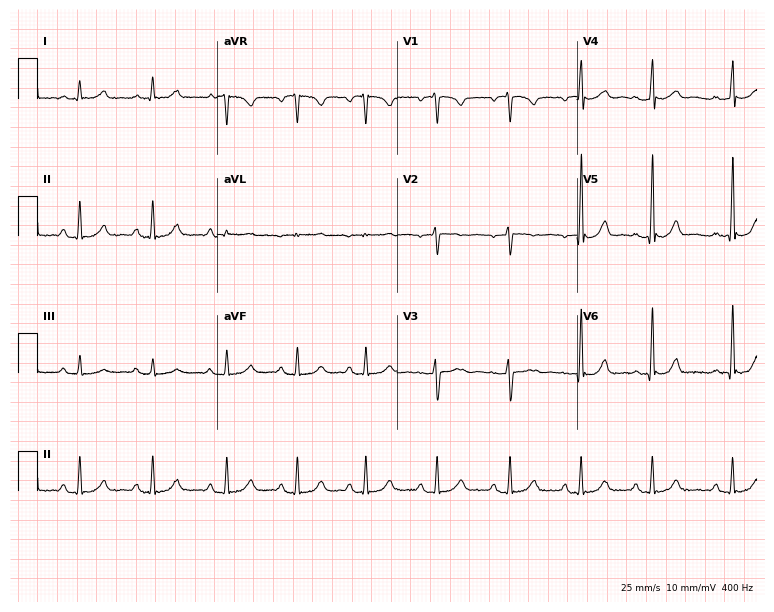
12-lead ECG from a female patient, 29 years old (7.3-second recording at 400 Hz). Recorded interpretation: within normal limits.